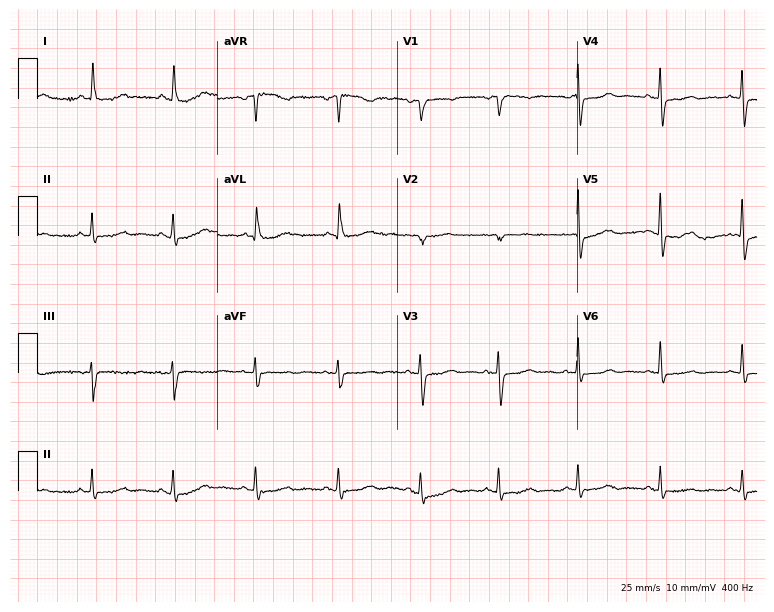
Standard 12-lead ECG recorded from a woman, 64 years old. Read as a normal ECG.